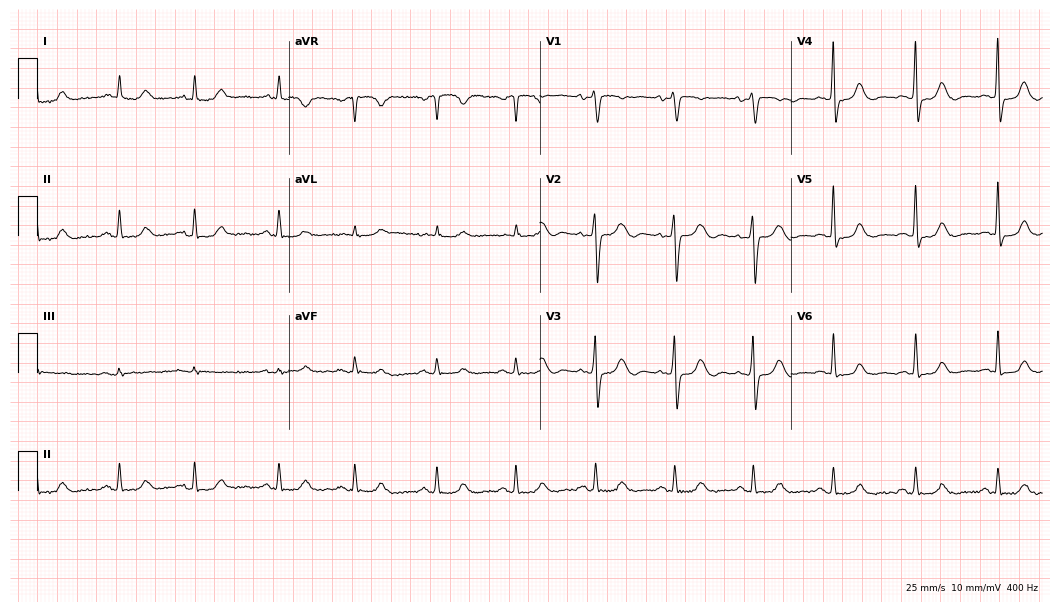
12-lead ECG from a female, 81 years old (10.2-second recording at 400 Hz). No first-degree AV block, right bundle branch block, left bundle branch block, sinus bradycardia, atrial fibrillation or sinus tachycardia recorded for this tracing.